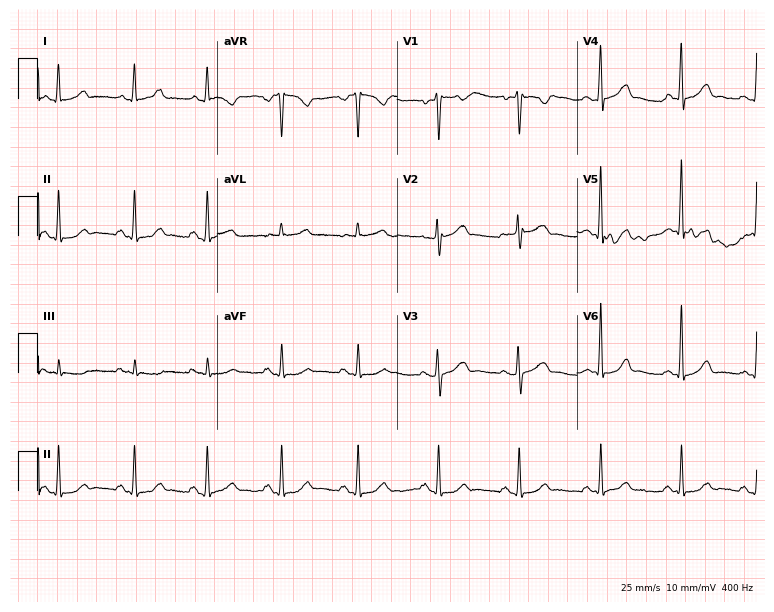
Electrocardiogram, a 47-year-old female patient. Overall reading on record: normal ECG.